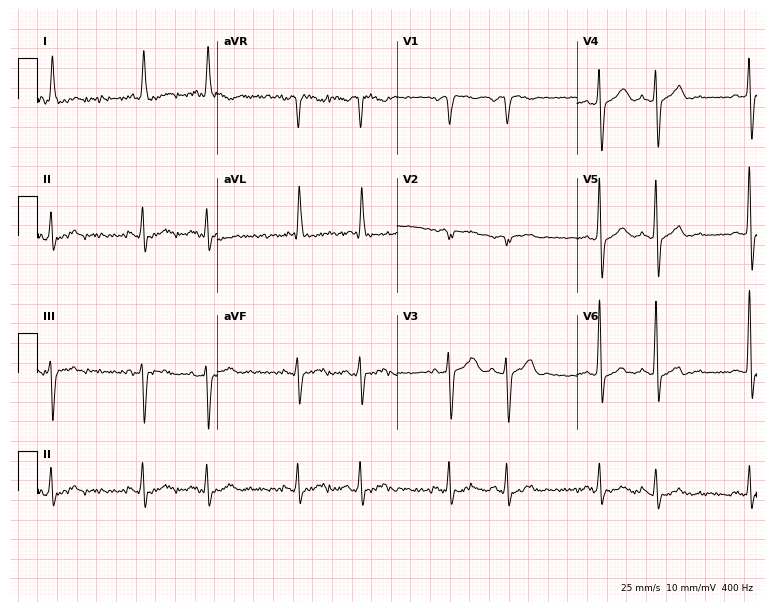
ECG — a man, 69 years old. Screened for six findings — first-degree AV block, right bundle branch block, left bundle branch block, sinus bradycardia, atrial fibrillation, sinus tachycardia — none is recorded. Other findings, if any, are not listed.